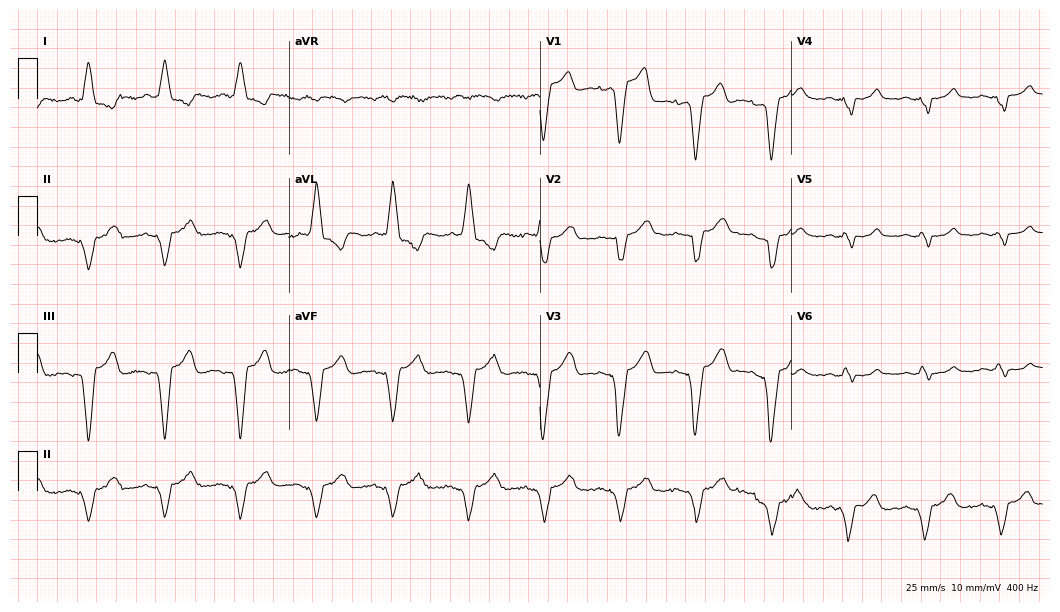
12-lead ECG (10.2-second recording at 400 Hz) from a female patient, 53 years old. Screened for six findings — first-degree AV block, right bundle branch block (RBBB), left bundle branch block (LBBB), sinus bradycardia, atrial fibrillation (AF), sinus tachycardia — none is recorded. Only these six findings were labelled.